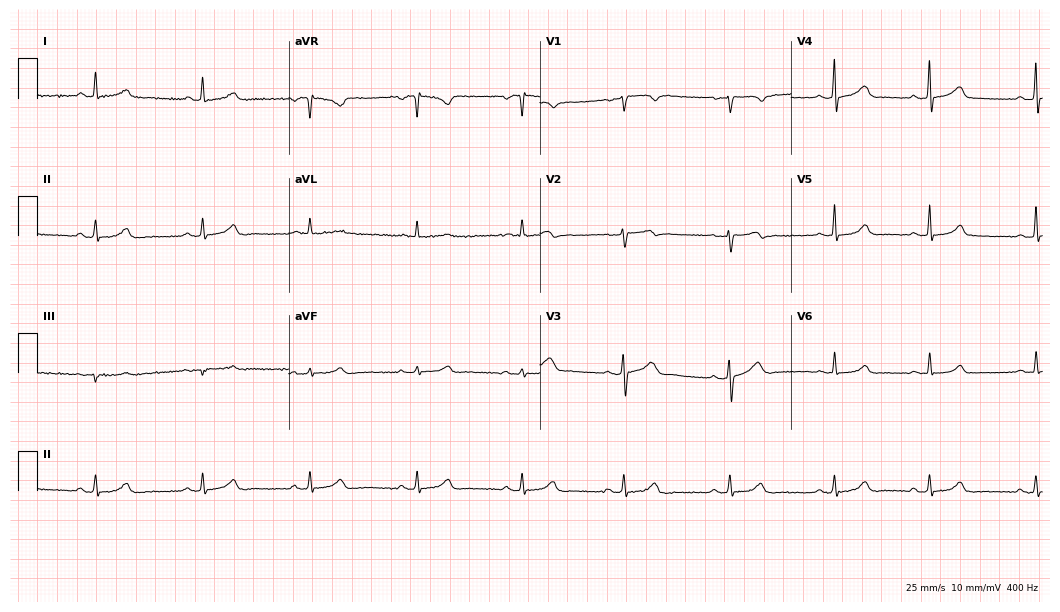
12-lead ECG from a 45-year-old woman. Recorded interpretation: within normal limits.